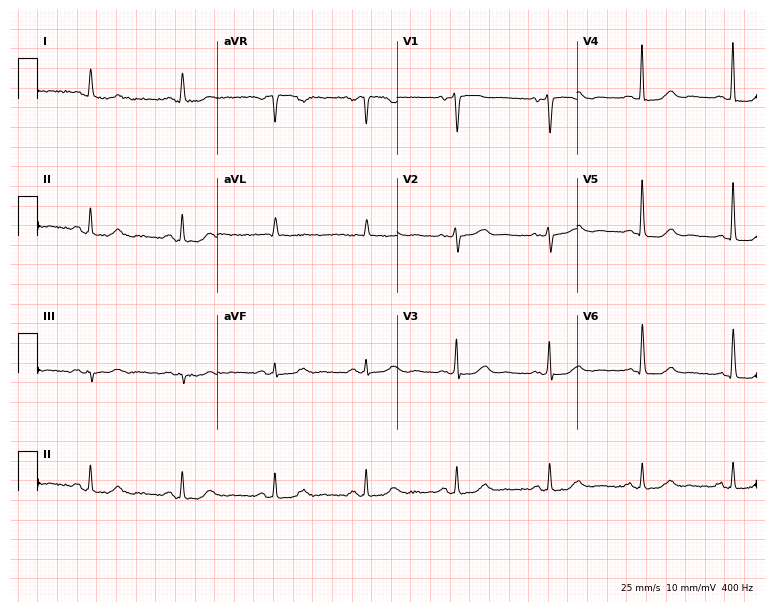
Resting 12-lead electrocardiogram. Patient: an 82-year-old woman. None of these six findings is recorded: first-degree AV block, right bundle branch block, left bundle branch block, sinus bradycardia, atrial fibrillation, sinus tachycardia.